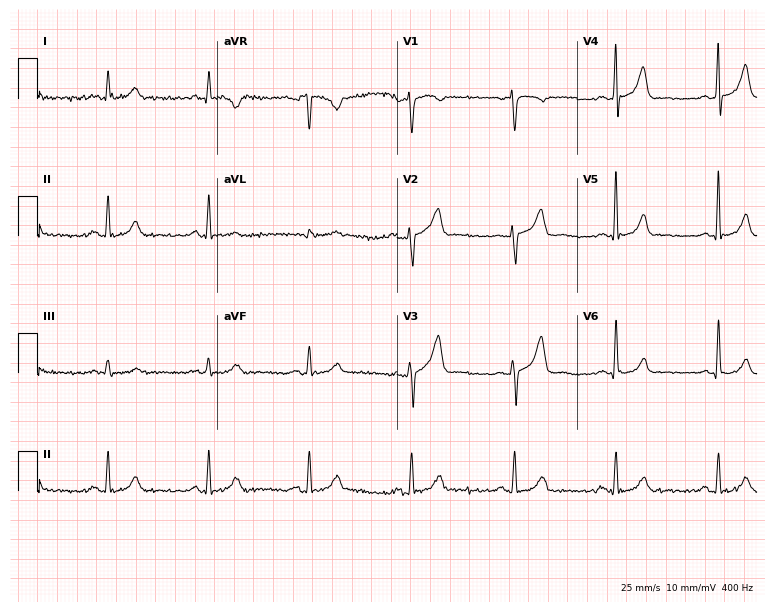
ECG (7.3-second recording at 400 Hz) — a man, 55 years old. Screened for six findings — first-degree AV block, right bundle branch block, left bundle branch block, sinus bradycardia, atrial fibrillation, sinus tachycardia — none is recorded. Only these six findings were labelled.